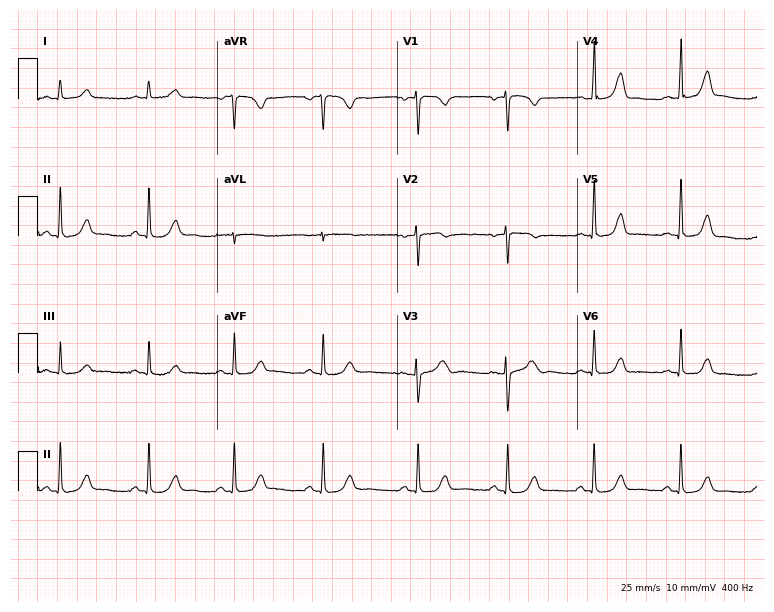
Standard 12-lead ECG recorded from a 42-year-old woman. Read as a normal ECG.